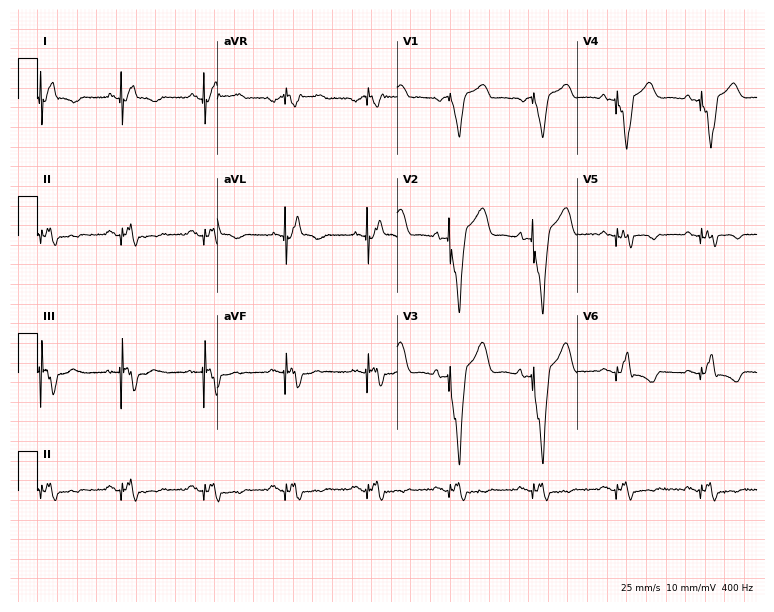
Resting 12-lead electrocardiogram (7.3-second recording at 400 Hz). Patient: a 52-year-old male. None of these six findings is recorded: first-degree AV block, right bundle branch block, left bundle branch block, sinus bradycardia, atrial fibrillation, sinus tachycardia.